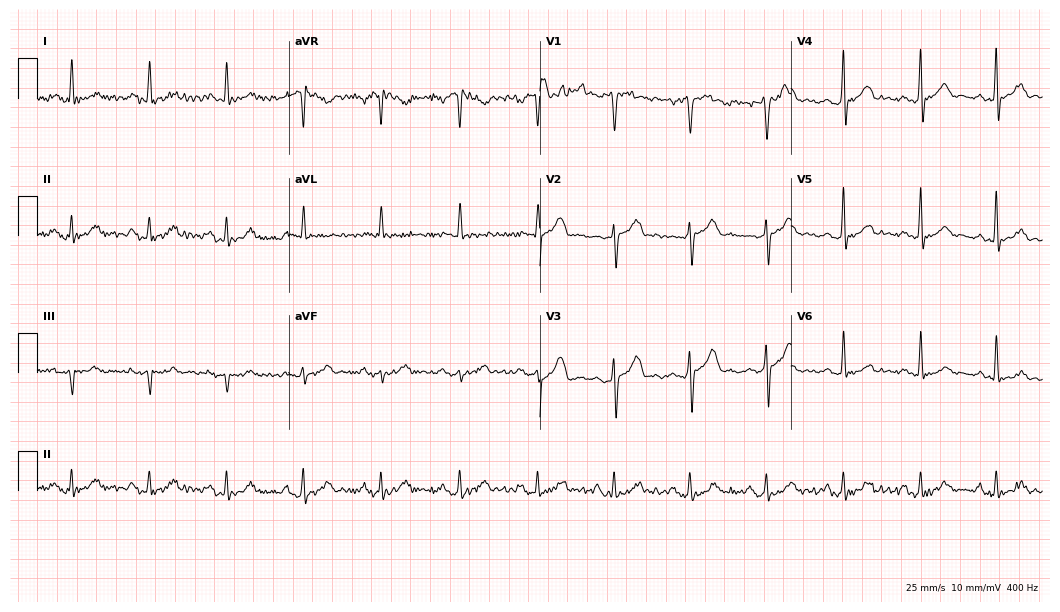
Electrocardiogram, a male patient, 46 years old. Overall reading on record: normal ECG.